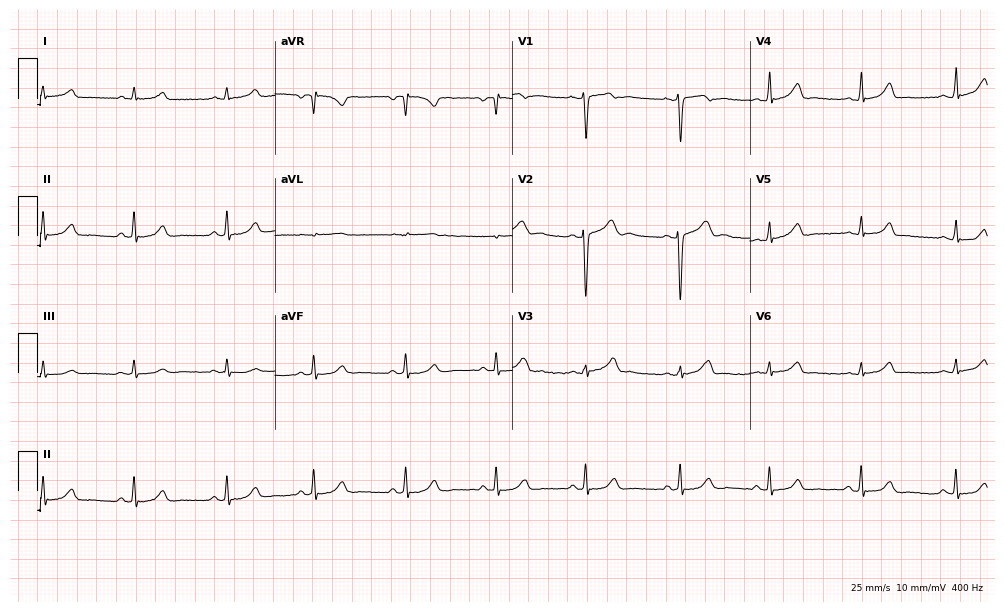
12-lead ECG from a 21-year-old female patient. No first-degree AV block, right bundle branch block (RBBB), left bundle branch block (LBBB), sinus bradycardia, atrial fibrillation (AF) or sinus tachycardia recorded for this tracing.